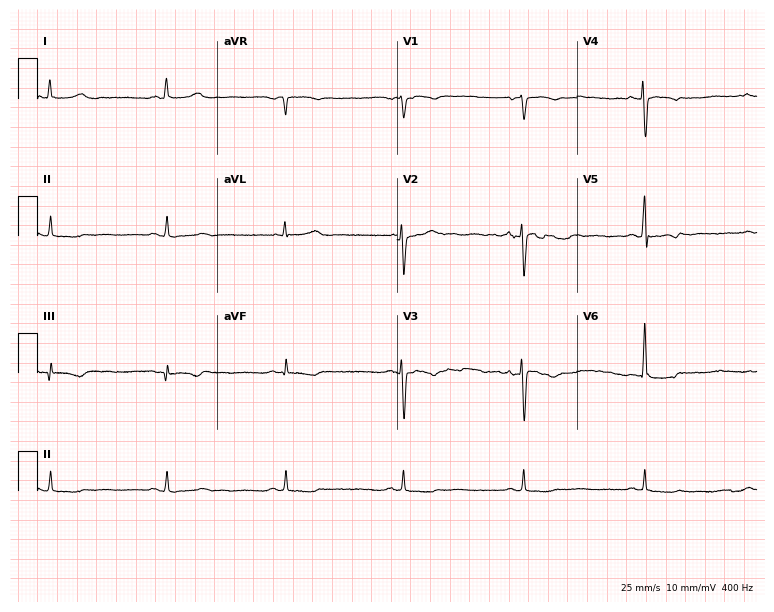
Electrocardiogram, a 58-year-old female patient. Interpretation includes sinus bradycardia (a sinus rate of 50 beats per minute or less).